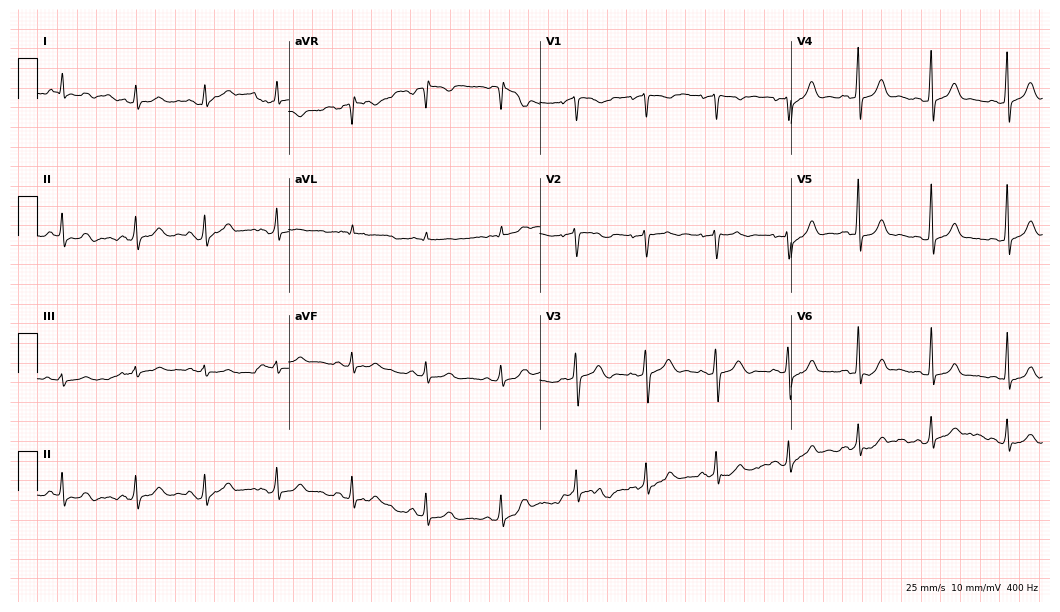
Resting 12-lead electrocardiogram. Patient: a 28-year-old woman. None of these six findings is recorded: first-degree AV block, right bundle branch block (RBBB), left bundle branch block (LBBB), sinus bradycardia, atrial fibrillation (AF), sinus tachycardia. Only these six findings were labelled.